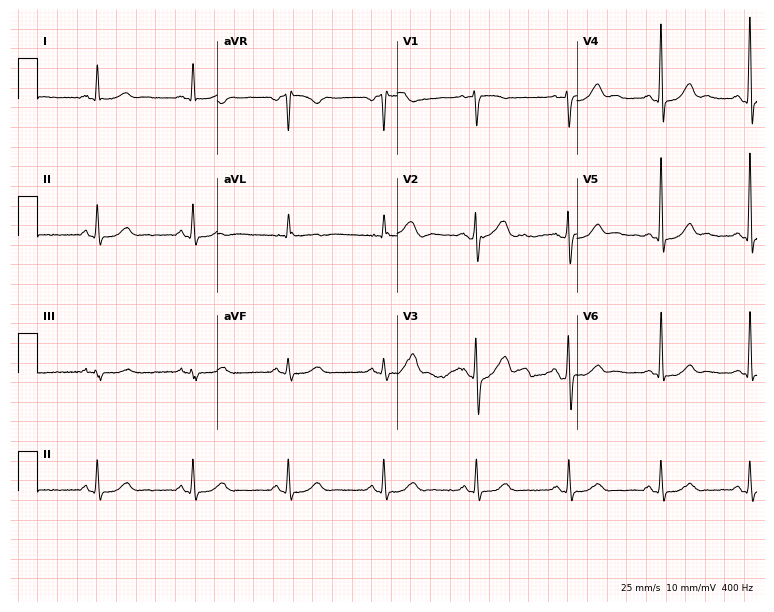
ECG — a male, 46 years old. Labelled as a normal ECG.